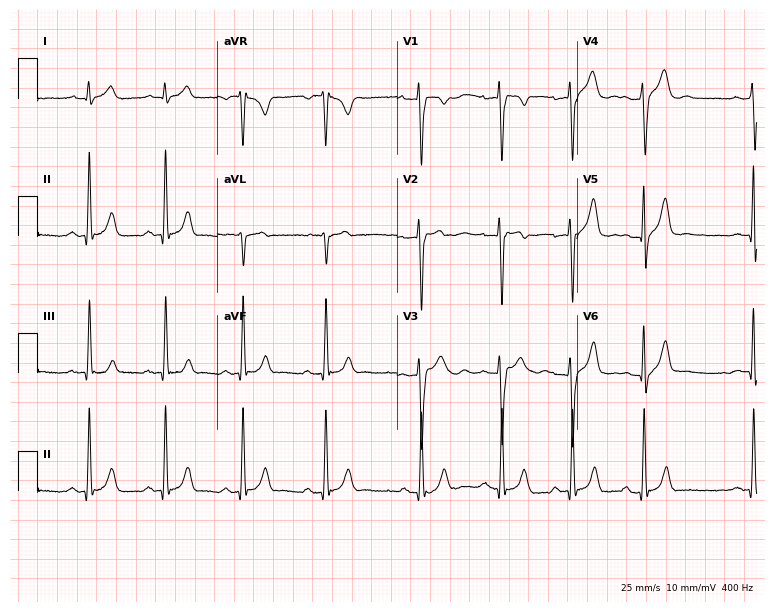
ECG (7.3-second recording at 400 Hz) — a man, 29 years old. Screened for six findings — first-degree AV block, right bundle branch block, left bundle branch block, sinus bradycardia, atrial fibrillation, sinus tachycardia — none is recorded. Other findings, if any, are not listed.